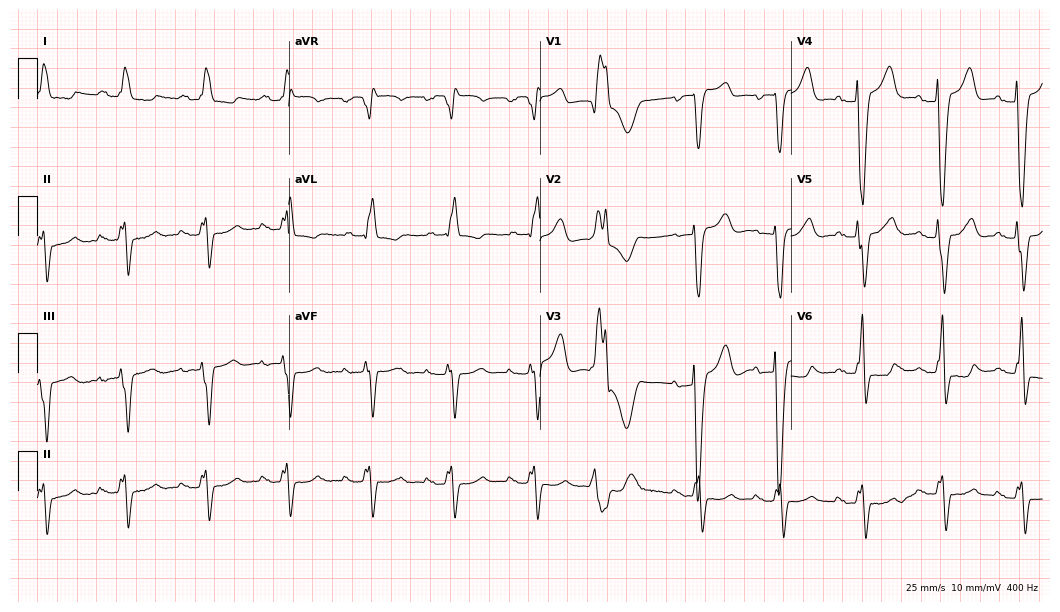
12-lead ECG from a female patient, 75 years old. Shows first-degree AV block, left bundle branch block.